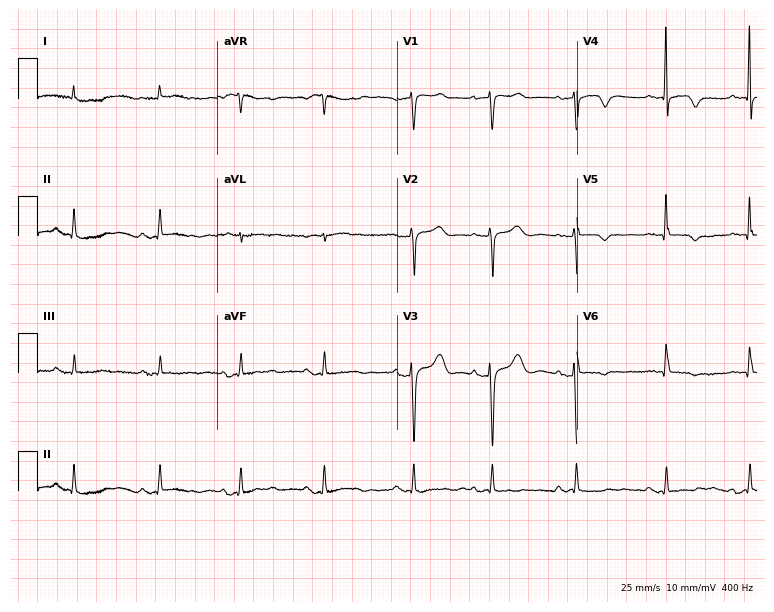
Resting 12-lead electrocardiogram (7.3-second recording at 400 Hz). Patient: a female, 77 years old. None of these six findings is recorded: first-degree AV block, right bundle branch block, left bundle branch block, sinus bradycardia, atrial fibrillation, sinus tachycardia.